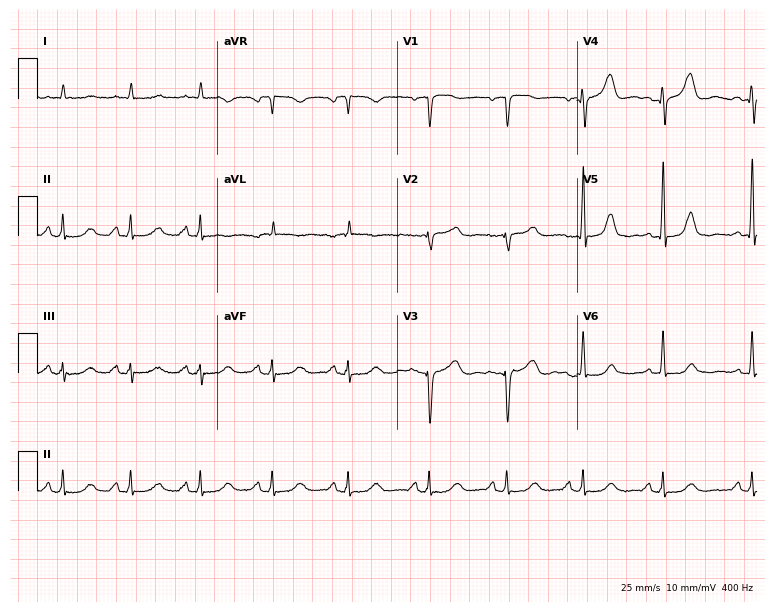
ECG (7.3-second recording at 400 Hz) — a woman, 73 years old. Screened for six findings — first-degree AV block, right bundle branch block, left bundle branch block, sinus bradycardia, atrial fibrillation, sinus tachycardia — none is recorded. Only these six findings were labelled.